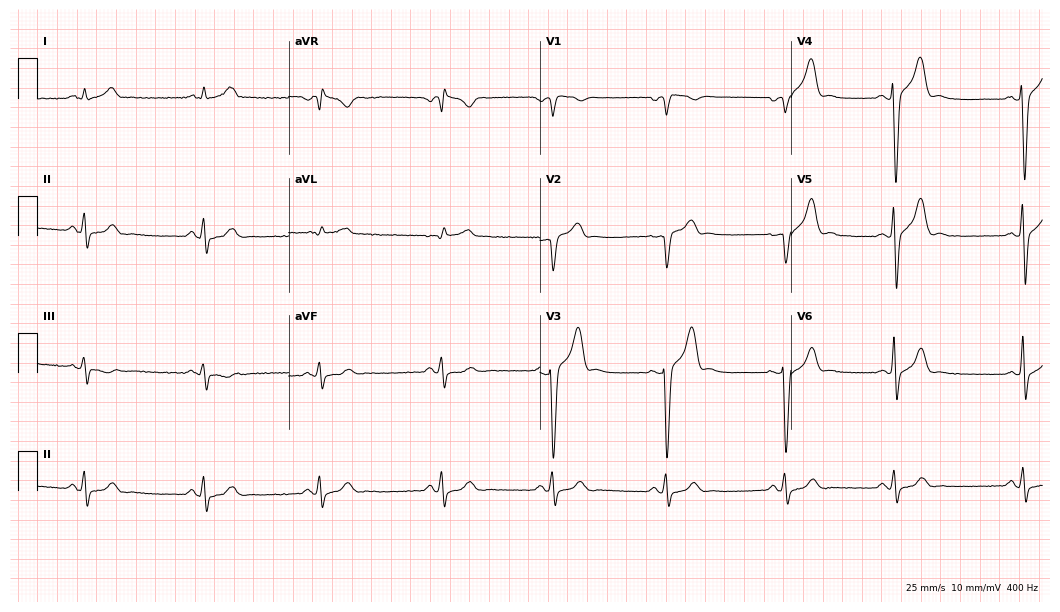
12-lead ECG from a 64-year-old male (10.2-second recording at 400 Hz). Shows sinus bradycardia (a sinus rate of 50 beats per minute or less).